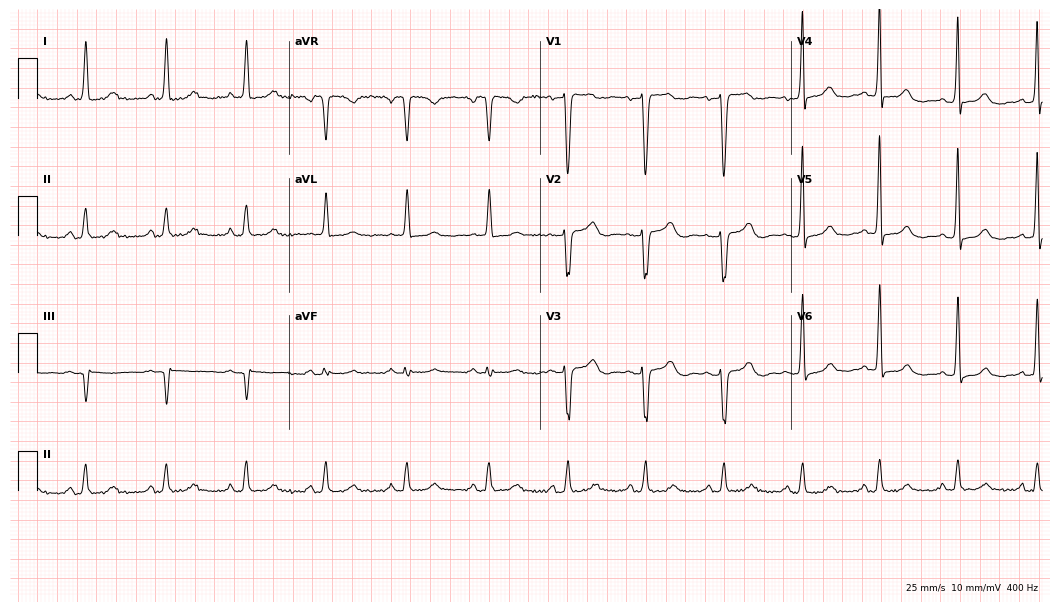
Standard 12-lead ECG recorded from a 69-year-old woman (10.2-second recording at 400 Hz). Read as a normal ECG.